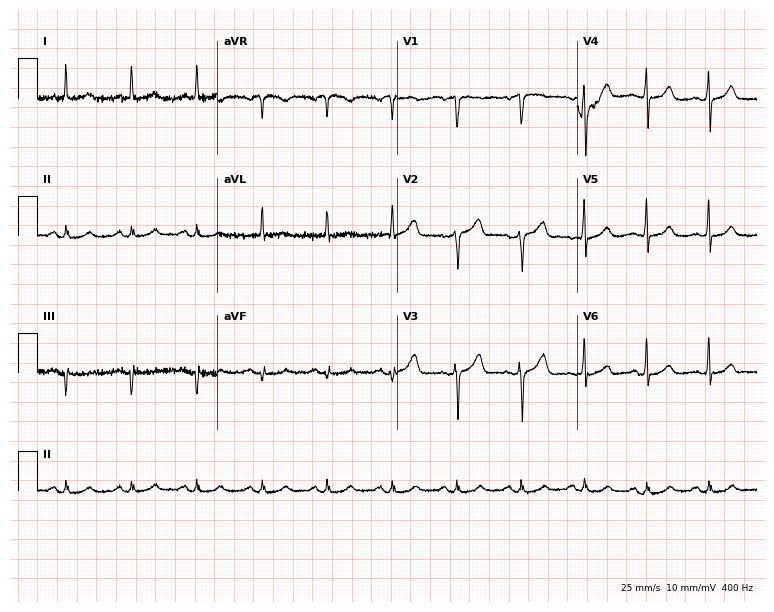
12-lead ECG (7.3-second recording at 400 Hz) from a man, 79 years old. Screened for six findings — first-degree AV block, right bundle branch block (RBBB), left bundle branch block (LBBB), sinus bradycardia, atrial fibrillation (AF), sinus tachycardia — none is recorded.